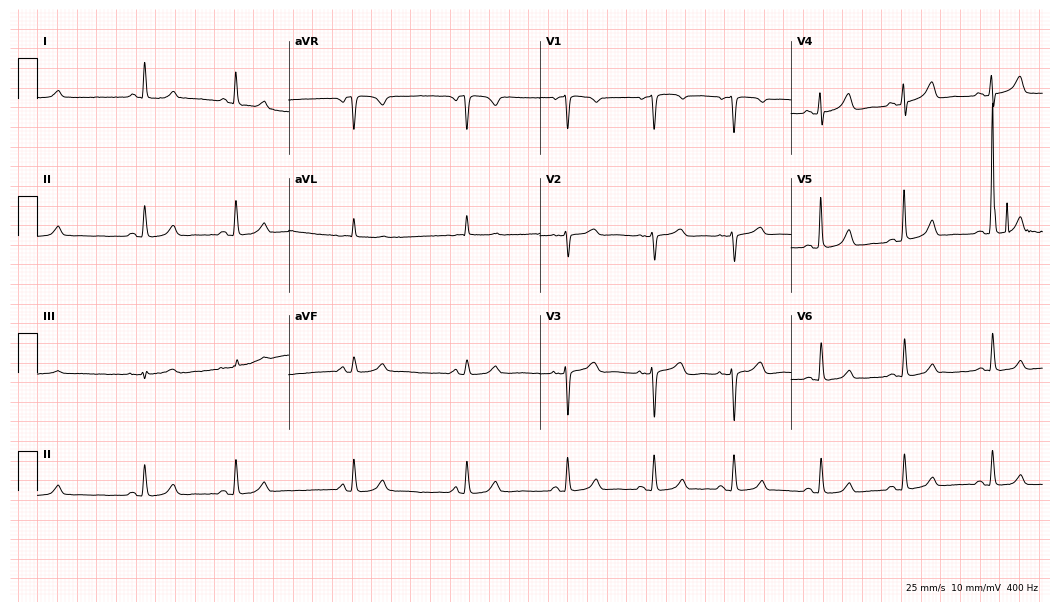
12-lead ECG from a female patient, 72 years old. Labelled as a normal ECG.